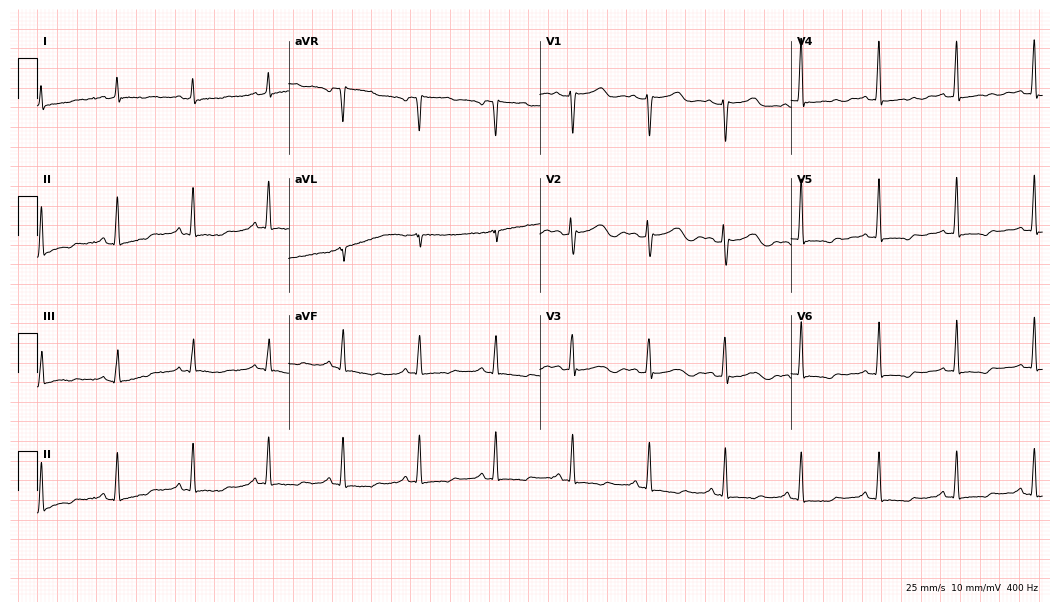
12-lead ECG from a female patient, 53 years old. No first-degree AV block, right bundle branch block, left bundle branch block, sinus bradycardia, atrial fibrillation or sinus tachycardia recorded for this tracing.